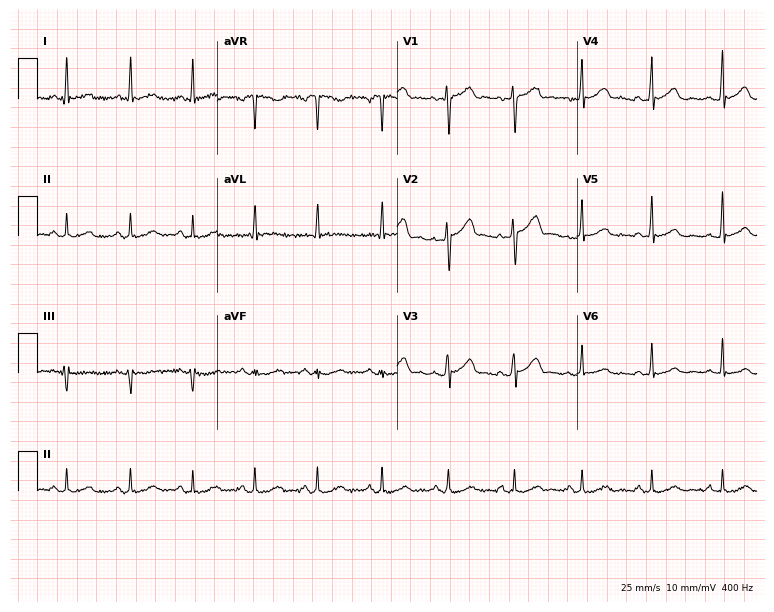
Resting 12-lead electrocardiogram. Patient: a male, 55 years old. None of these six findings is recorded: first-degree AV block, right bundle branch block, left bundle branch block, sinus bradycardia, atrial fibrillation, sinus tachycardia.